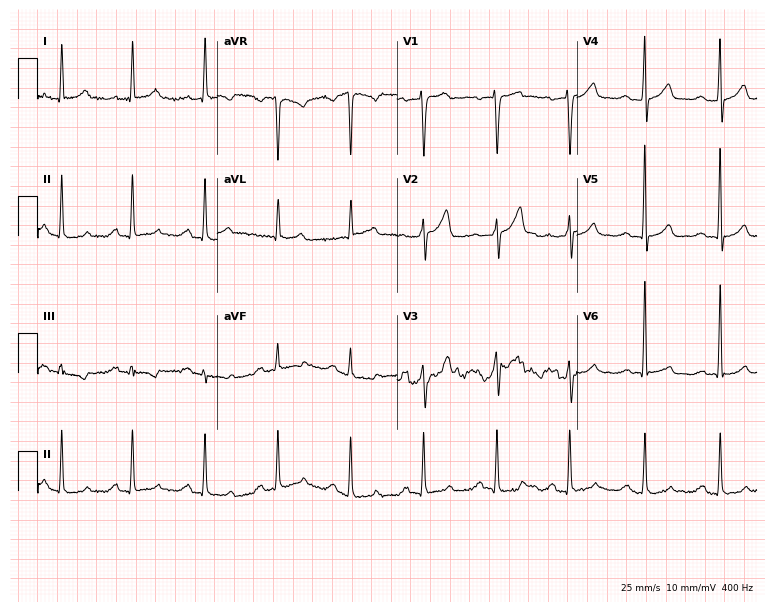
ECG (7.3-second recording at 400 Hz) — a 52-year-old female. Findings include first-degree AV block.